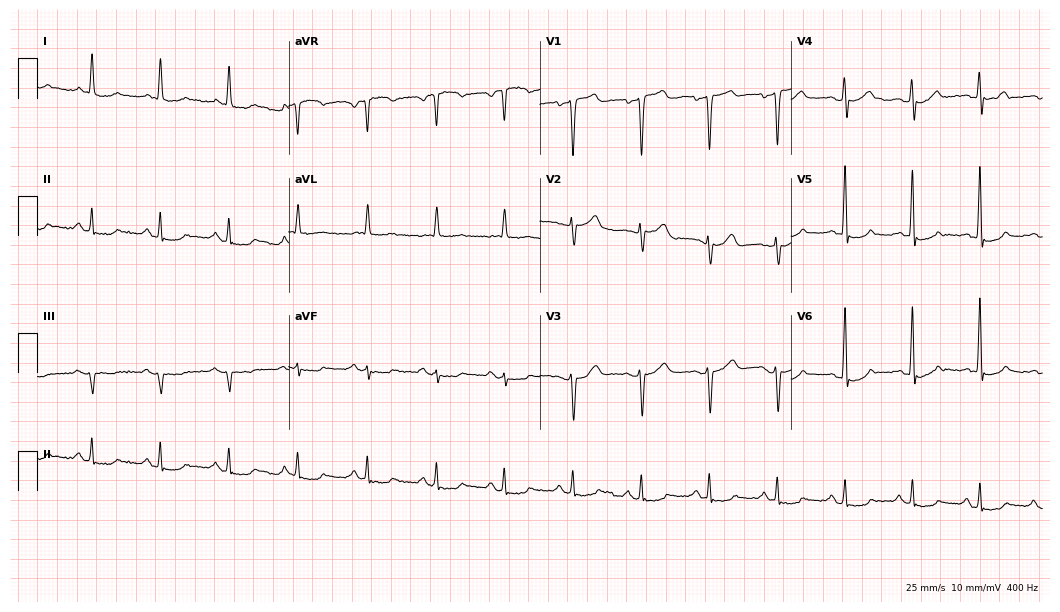
ECG — a man, 85 years old. Screened for six findings — first-degree AV block, right bundle branch block (RBBB), left bundle branch block (LBBB), sinus bradycardia, atrial fibrillation (AF), sinus tachycardia — none is recorded.